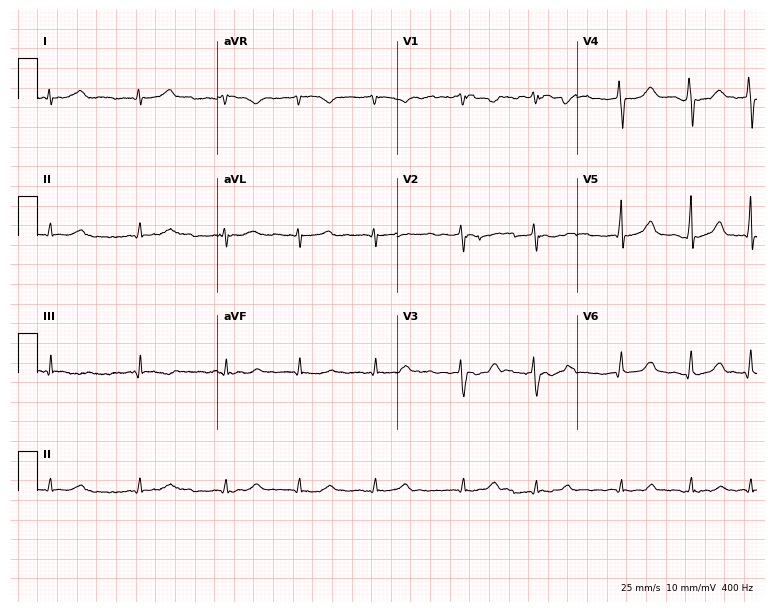
12-lead ECG from a 57-year-old woman. Findings include atrial fibrillation.